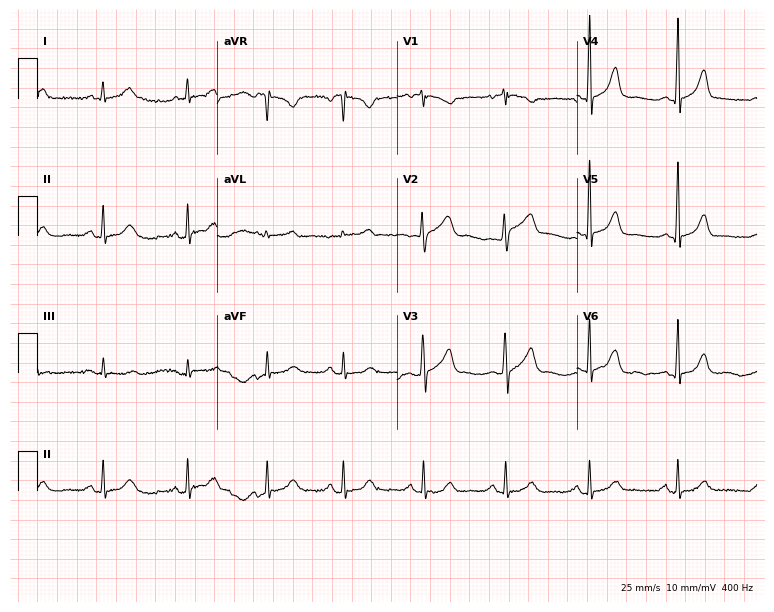
Resting 12-lead electrocardiogram (7.3-second recording at 400 Hz). Patient: a female, 45 years old. Read as a normal ECG.